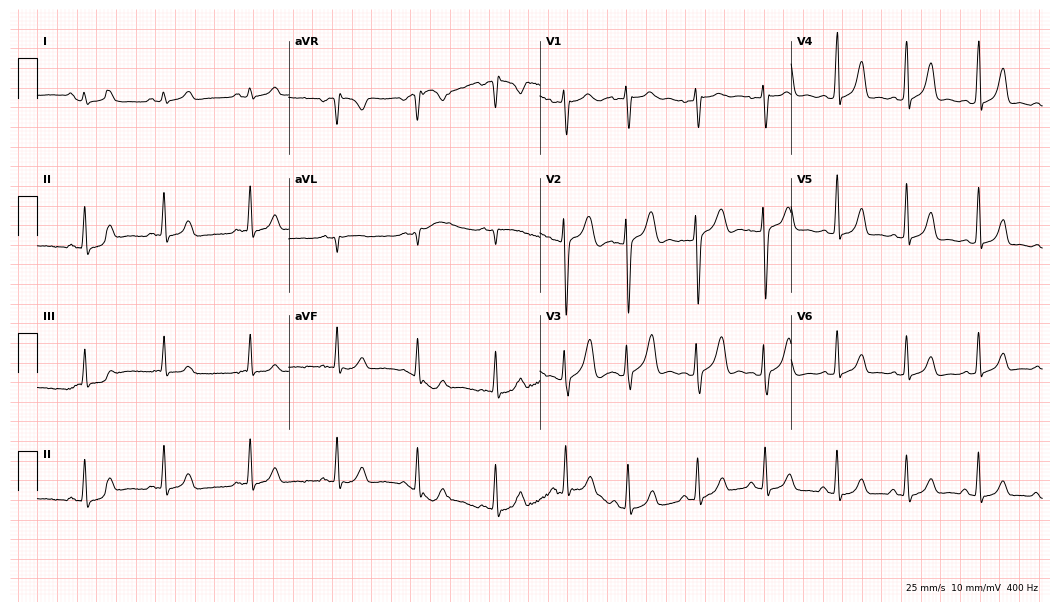
ECG (10.2-second recording at 400 Hz) — a female, 29 years old. Screened for six findings — first-degree AV block, right bundle branch block (RBBB), left bundle branch block (LBBB), sinus bradycardia, atrial fibrillation (AF), sinus tachycardia — none is recorded. Findings outside these six are not listed.